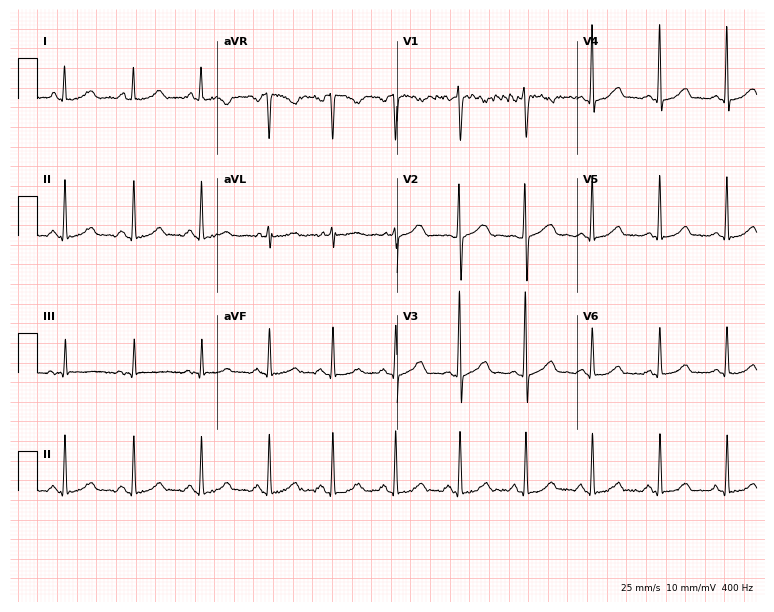
Resting 12-lead electrocardiogram (7.3-second recording at 400 Hz). Patient: a female, 37 years old. Read as a normal ECG.